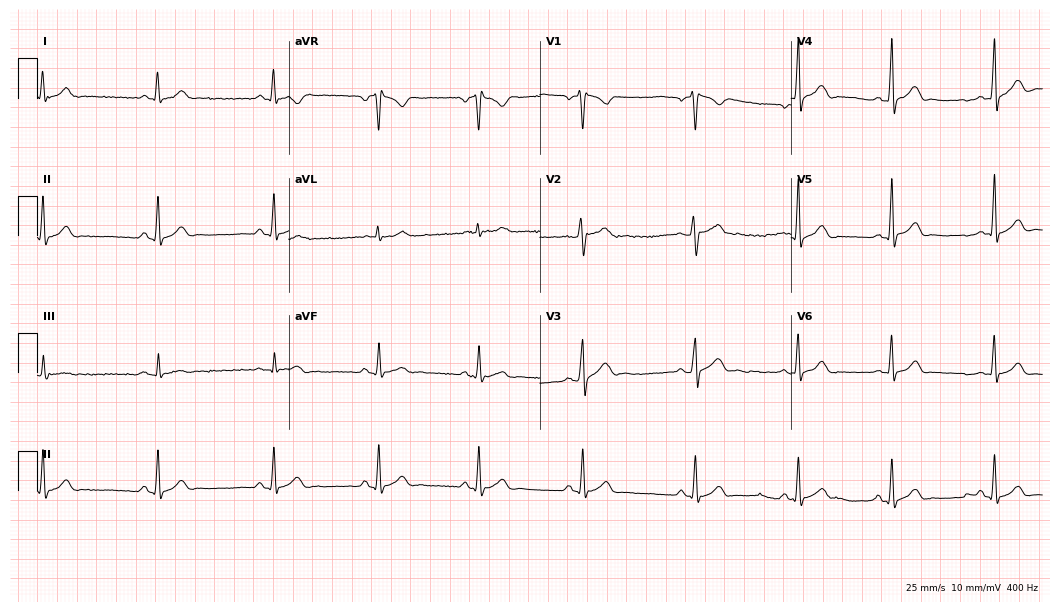
12-lead ECG (10.2-second recording at 400 Hz) from a 22-year-old man. Labelled as a normal ECG.